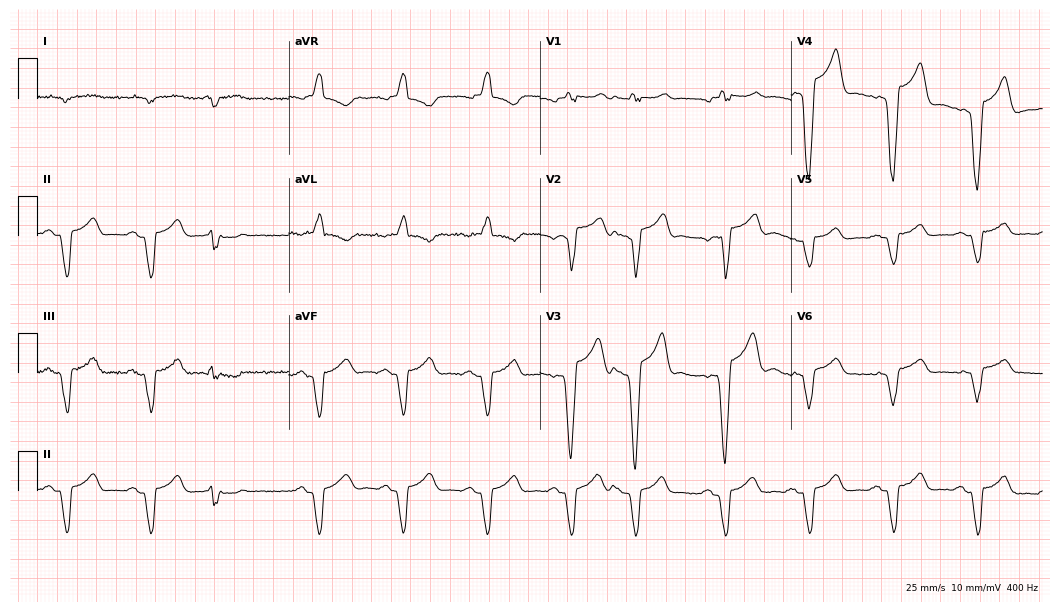
12-lead ECG from a male patient, 75 years old. No first-degree AV block, right bundle branch block (RBBB), left bundle branch block (LBBB), sinus bradycardia, atrial fibrillation (AF) or sinus tachycardia recorded for this tracing. Only these six findings were labelled.